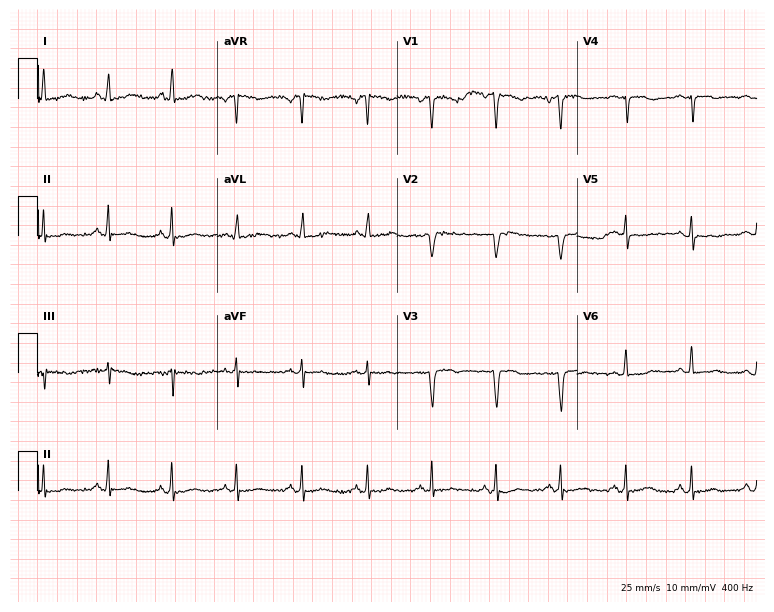
12-lead ECG (7.3-second recording at 400 Hz) from a 67-year-old female. Screened for six findings — first-degree AV block, right bundle branch block, left bundle branch block, sinus bradycardia, atrial fibrillation, sinus tachycardia — none is recorded. Only these six findings were labelled.